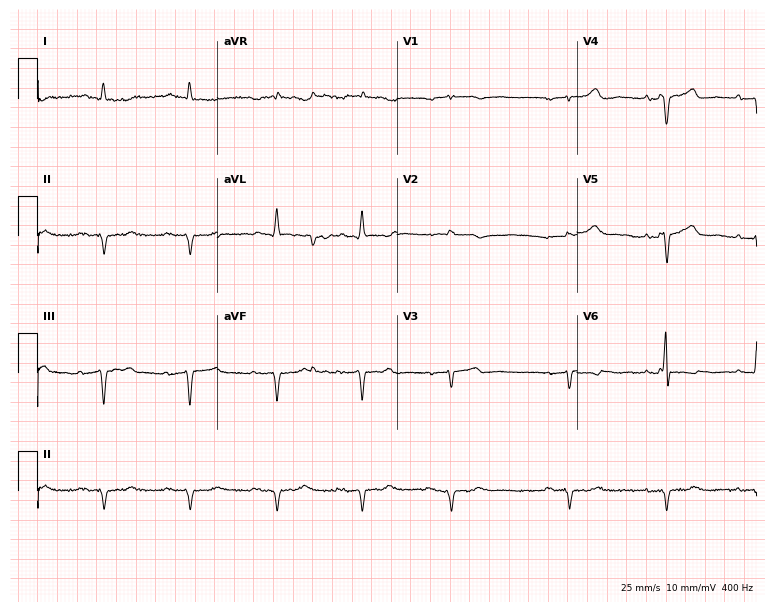
12-lead ECG from a 70-year-old male. No first-degree AV block, right bundle branch block, left bundle branch block, sinus bradycardia, atrial fibrillation or sinus tachycardia recorded for this tracing.